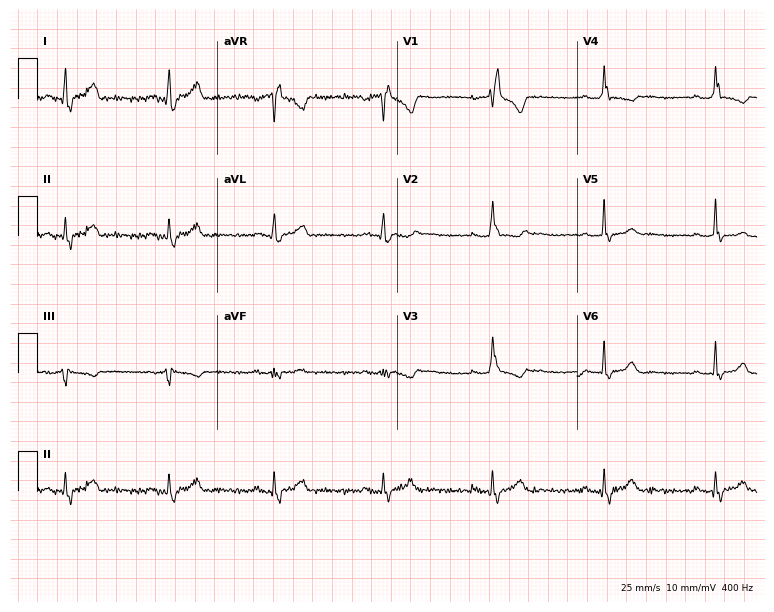
Standard 12-lead ECG recorded from a woman, 52 years old (7.3-second recording at 400 Hz). The tracing shows right bundle branch block.